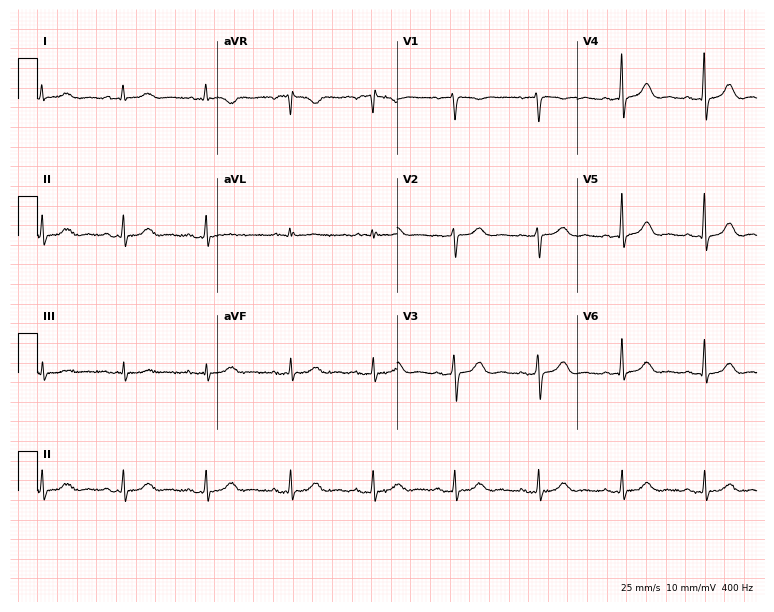
12-lead ECG from a female patient, 63 years old (7.3-second recording at 400 Hz). Recorded interpretation: within normal limits.